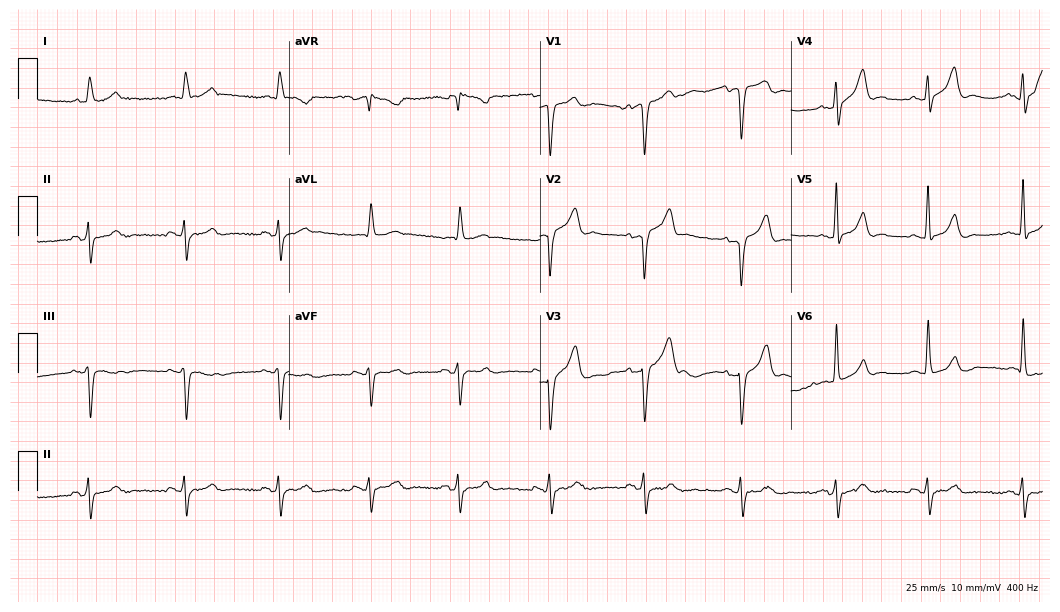
Electrocardiogram (10.2-second recording at 400 Hz), a male, 75 years old. Overall reading on record: normal ECG.